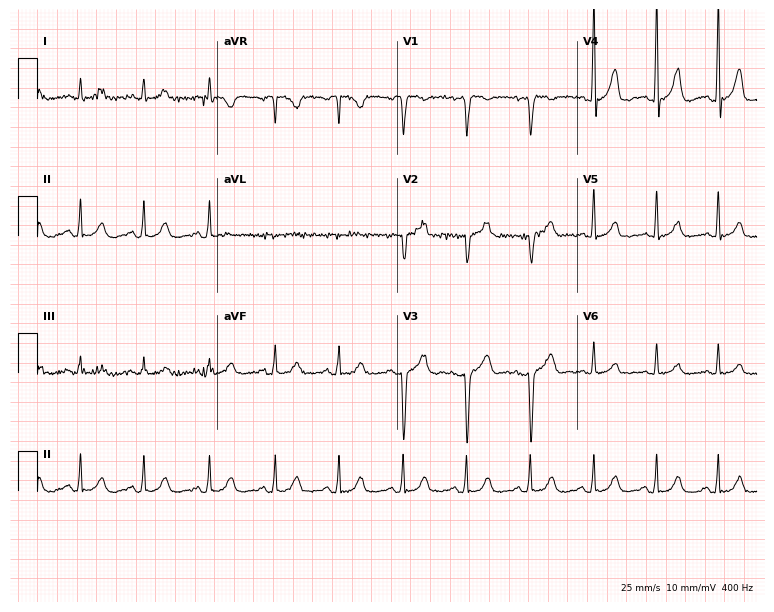
ECG — a man, 70 years old. Screened for six findings — first-degree AV block, right bundle branch block (RBBB), left bundle branch block (LBBB), sinus bradycardia, atrial fibrillation (AF), sinus tachycardia — none is recorded. Only these six findings were labelled.